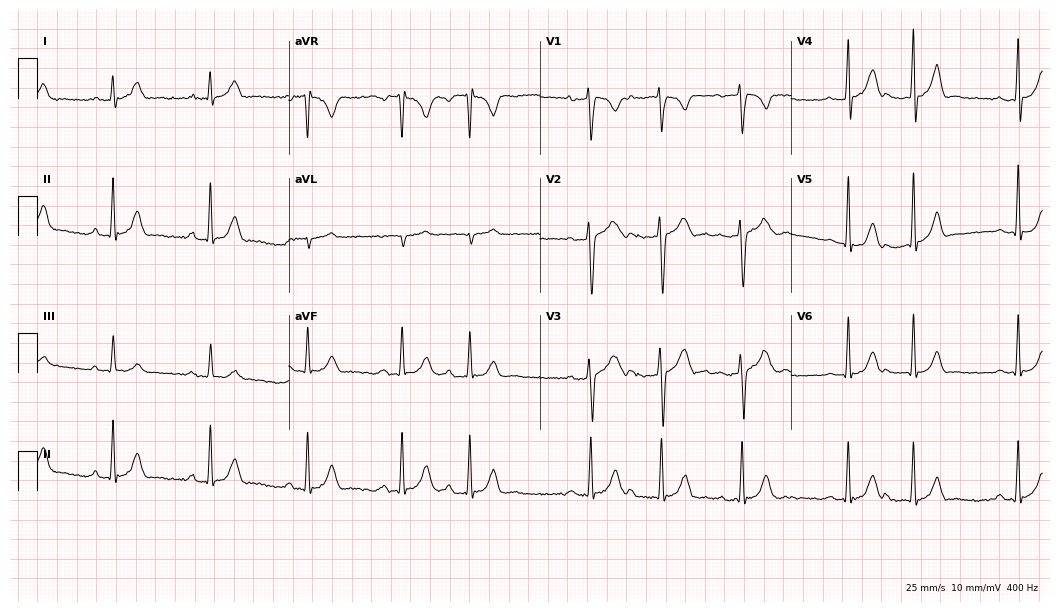
Electrocardiogram, a 22-year-old male patient. Of the six screened findings (first-degree AV block, right bundle branch block (RBBB), left bundle branch block (LBBB), sinus bradycardia, atrial fibrillation (AF), sinus tachycardia), none is recorded.